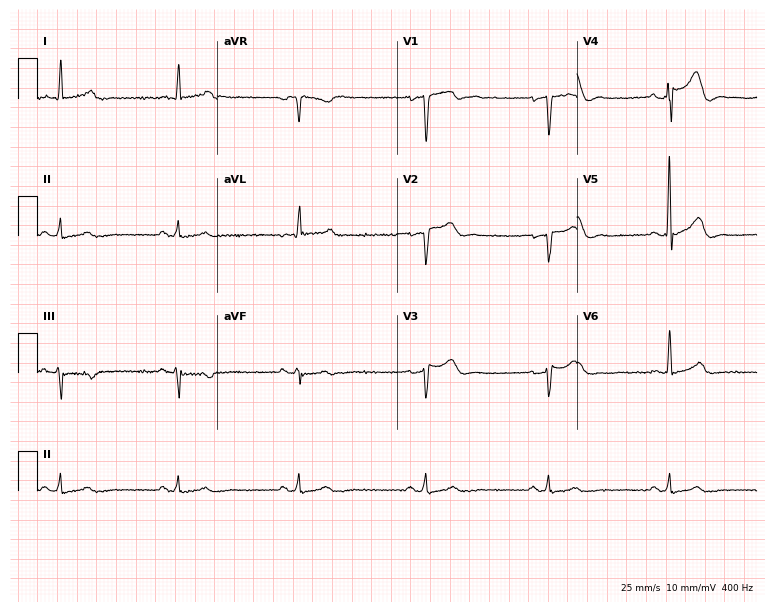
Standard 12-lead ECG recorded from a male patient, 62 years old. The tracing shows sinus bradycardia (a sinus rate of 50 beats per minute or less).